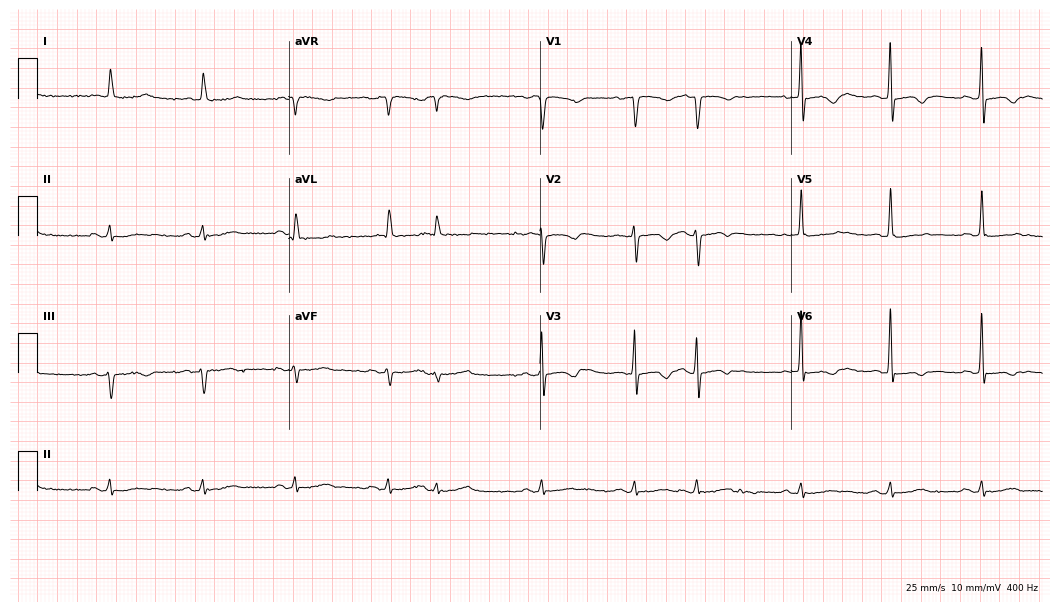
12-lead ECG (10.2-second recording at 400 Hz) from a female patient, 83 years old. Screened for six findings — first-degree AV block, right bundle branch block (RBBB), left bundle branch block (LBBB), sinus bradycardia, atrial fibrillation (AF), sinus tachycardia — none is recorded.